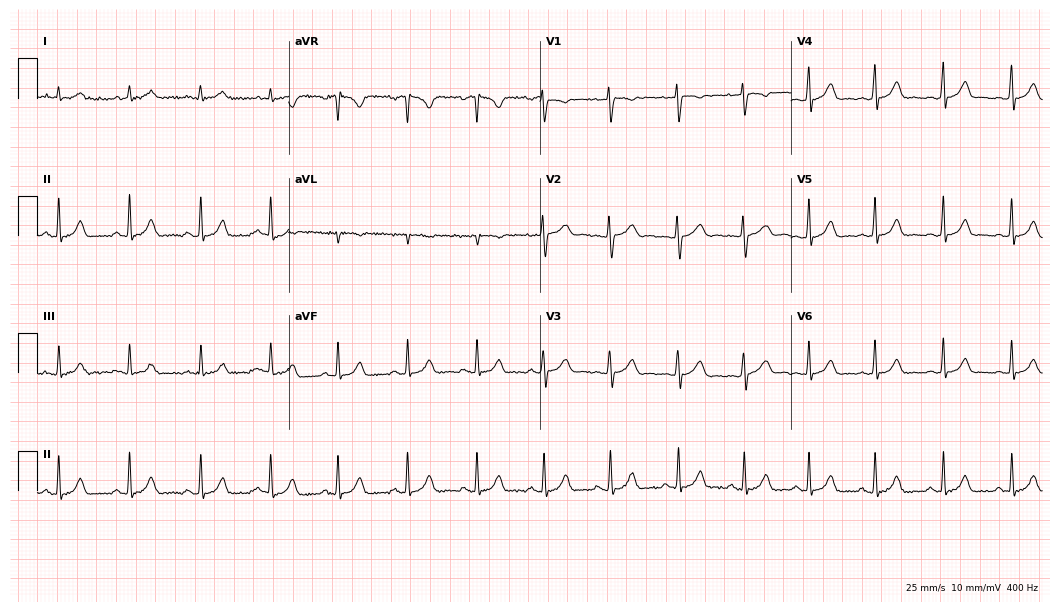
Standard 12-lead ECG recorded from a female, 17 years old. Read as a normal ECG.